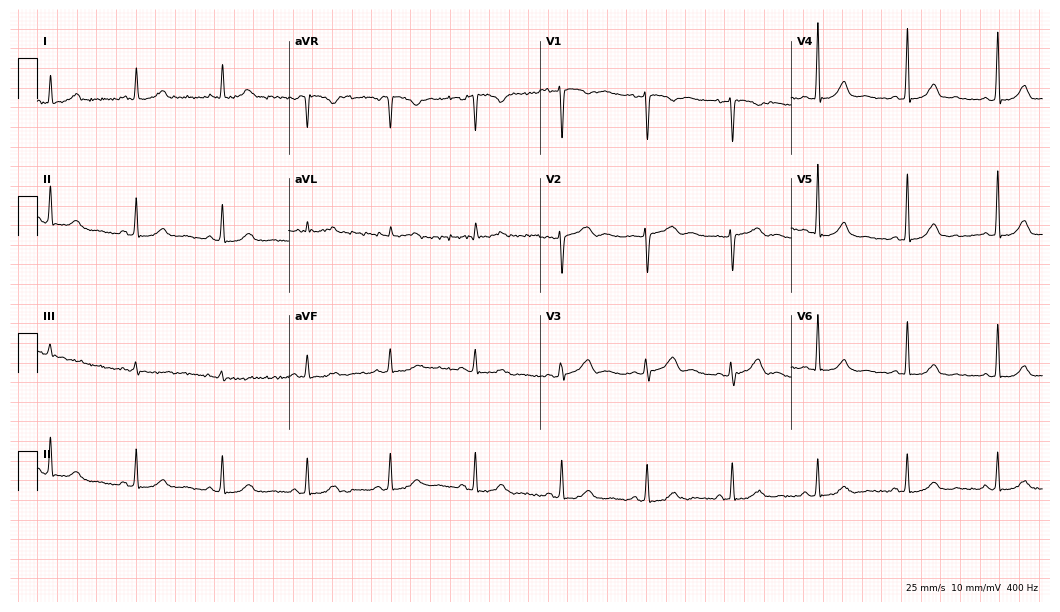
ECG (10.2-second recording at 400 Hz) — a woman, 40 years old. Screened for six findings — first-degree AV block, right bundle branch block, left bundle branch block, sinus bradycardia, atrial fibrillation, sinus tachycardia — none is recorded. Other findings, if any, are not listed.